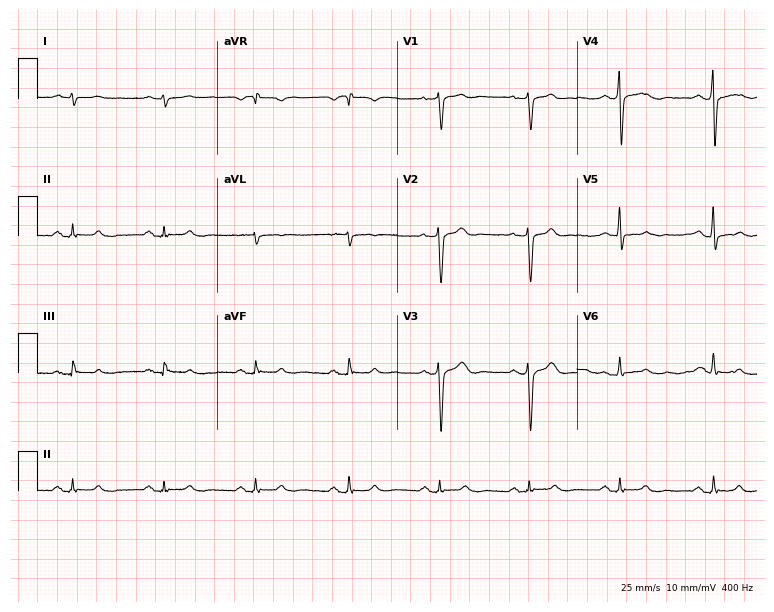
Electrocardiogram, a male, 29 years old. Of the six screened findings (first-degree AV block, right bundle branch block, left bundle branch block, sinus bradycardia, atrial fibrillation, sinus tachycardia), none is recorded. Findings outside these six are not listed.